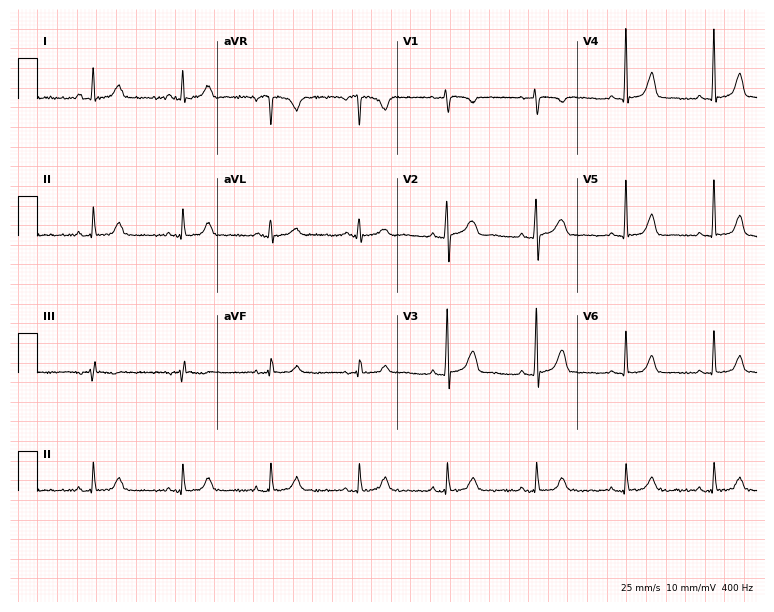
12-lead ECG from a 43-year-old female patient (7.3-second recording at 400 Hz). Recorded interpretation: within normal limits.